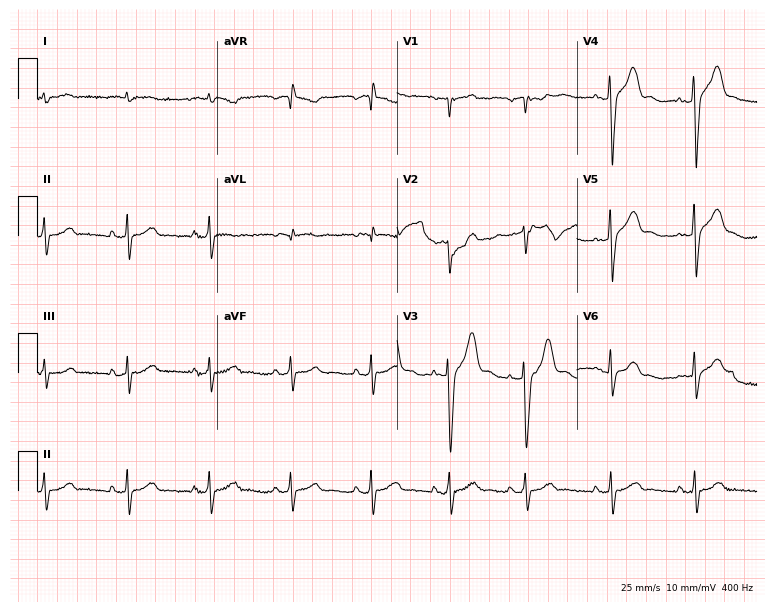
12-lead ECG from a 62-year-old male patient. Labelled as a normal ECG.